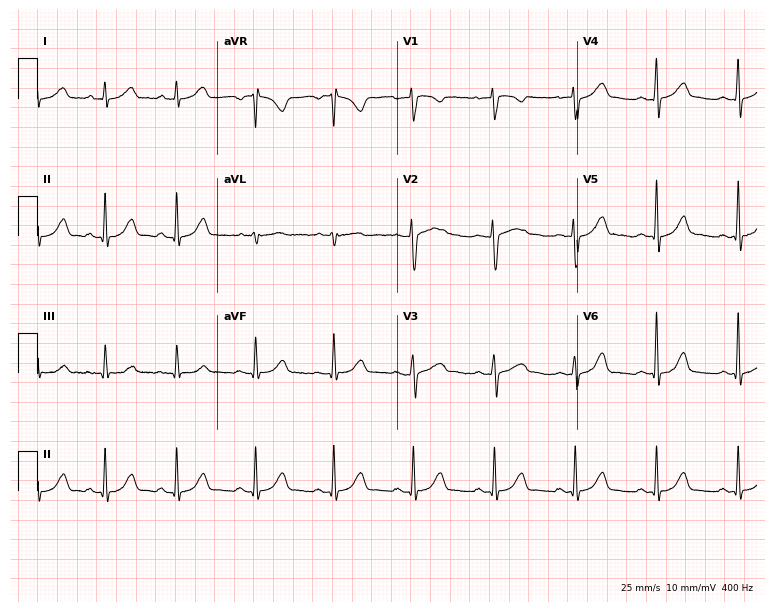
Standard 12-lead ECG recorded from a 37-year-old female patient (7.3-second recording at 400 Hz). Read as a normal ECG.